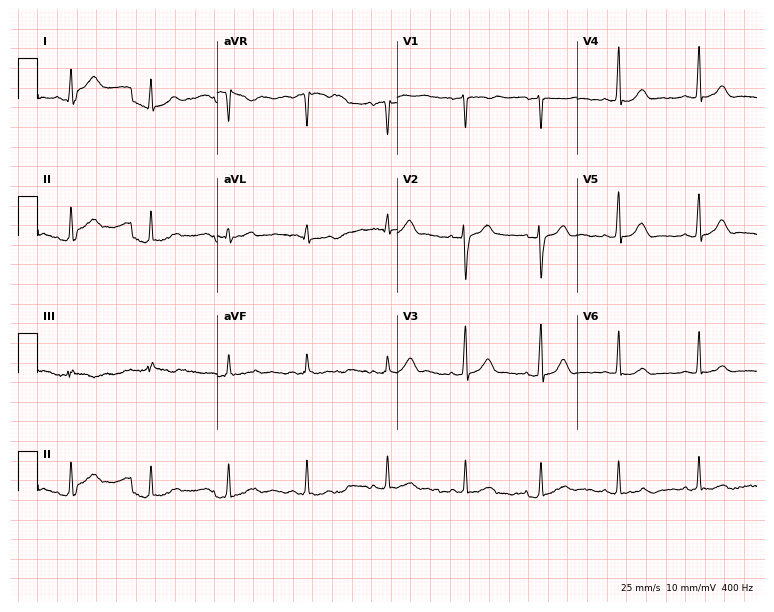
12-lead ECG from a 29-year-old woman. Screened for six findings — first-degree AV block, right bundle branch block, left bundle branch block, sinus bradycardia, atrial fibrillation, sinus tachycardia — none is recorded. Findings outside these six are not listed.